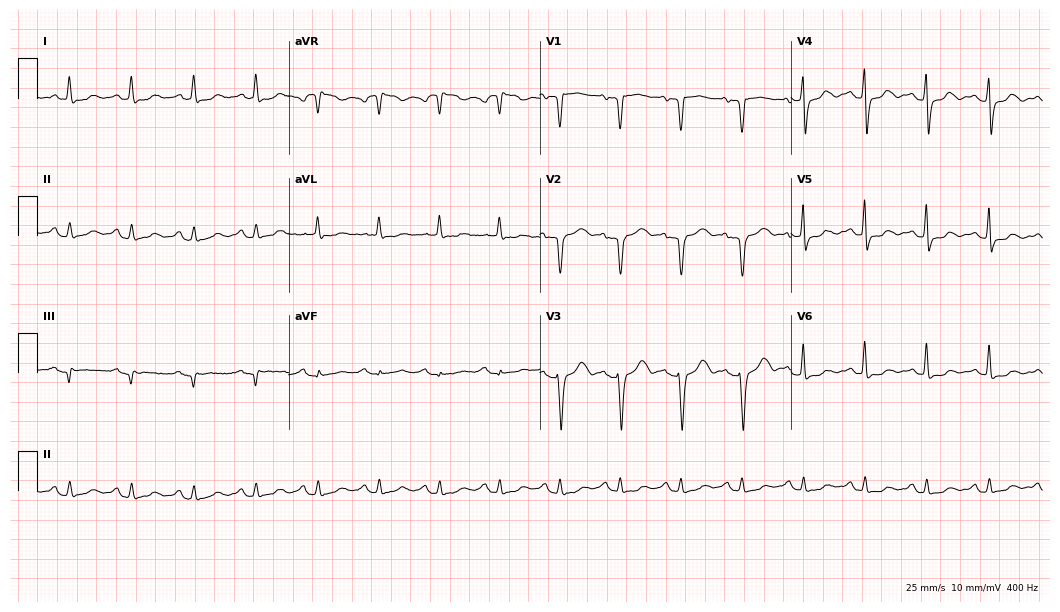
ECG — a woman, 64 years old. Screened for six findings — first-degree AV block, right bundle branch block, left bundle branch block, sinus bradycardia, atrial fibrillation, sinus tachycardia — none is recorded. Findings outside these six are not listed.